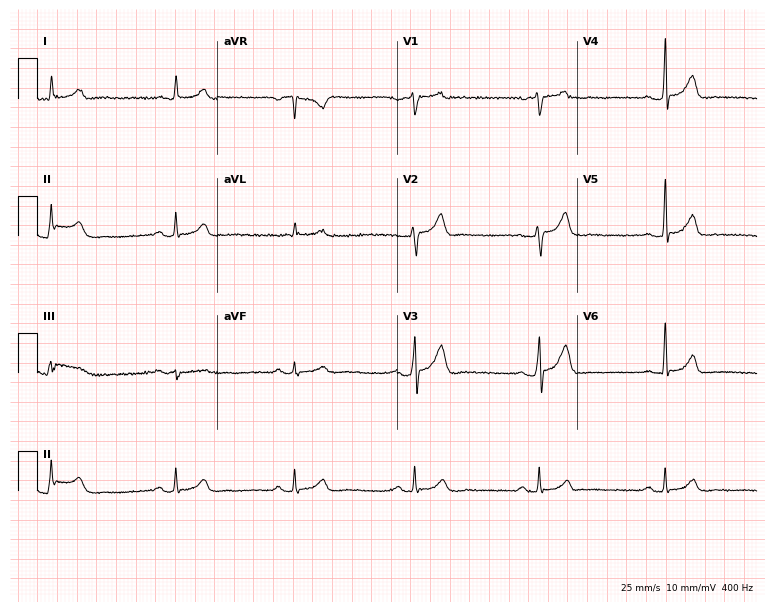
12-lead ECG from a 42-year-old male patient. Shows sinus bradycardia (a sinus rate of 50 beats per minute or less).